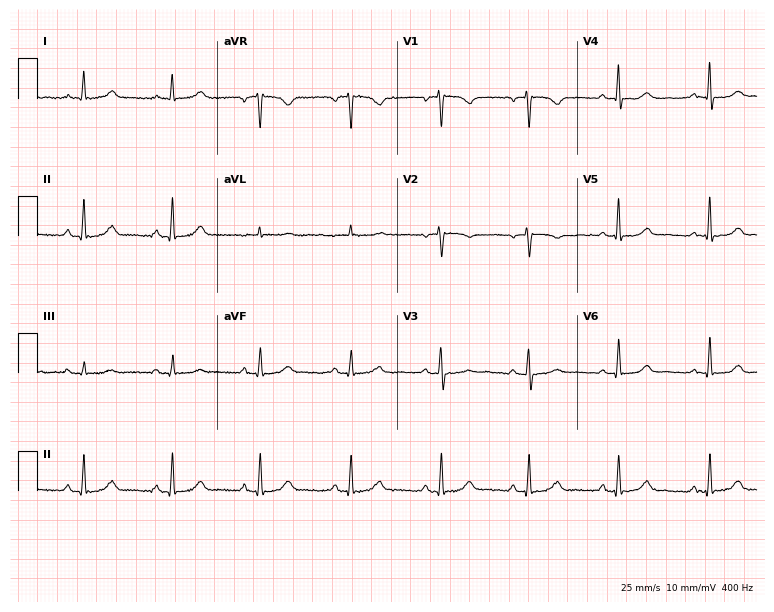
Electrocardiogram (7.3-second recording at 400 Hz), a female patient, 51 years old. Overall reading on record: normal ECG.